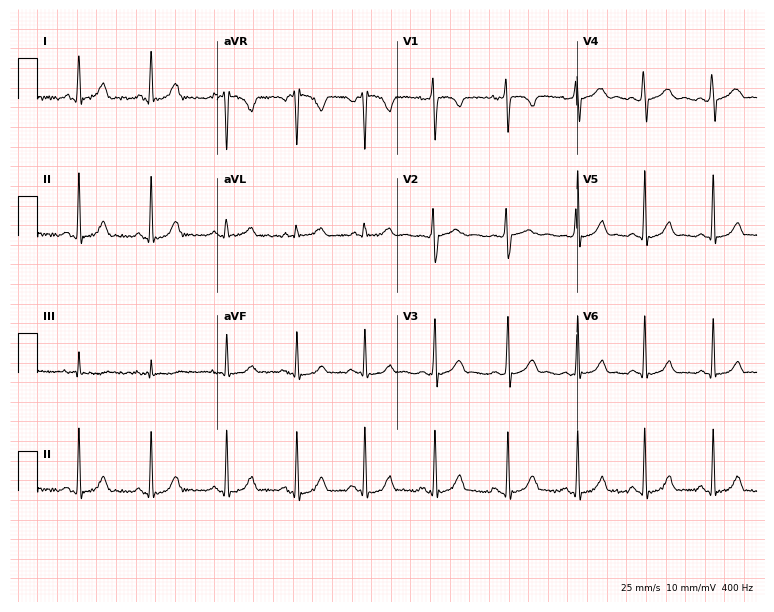
Electrocardiogram (7.3-second recording at 400 Hz), a 23-year-old female. Of the six screened findings (first-degree AV block, right bundle branch block, left bundle branch block, sinus bradycardia, atrial fibrillation, sinus tachycardia), none is recorded. Findings outside these six are not listed.